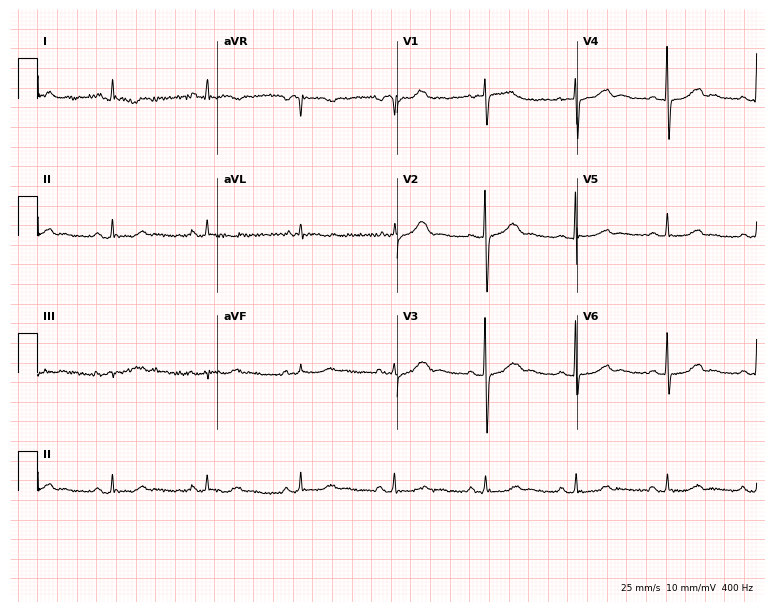
Electrocardiogram (7.3-second recording at 400 Hz), a 65-year-old woman. Overall reading on record: normal ECG.